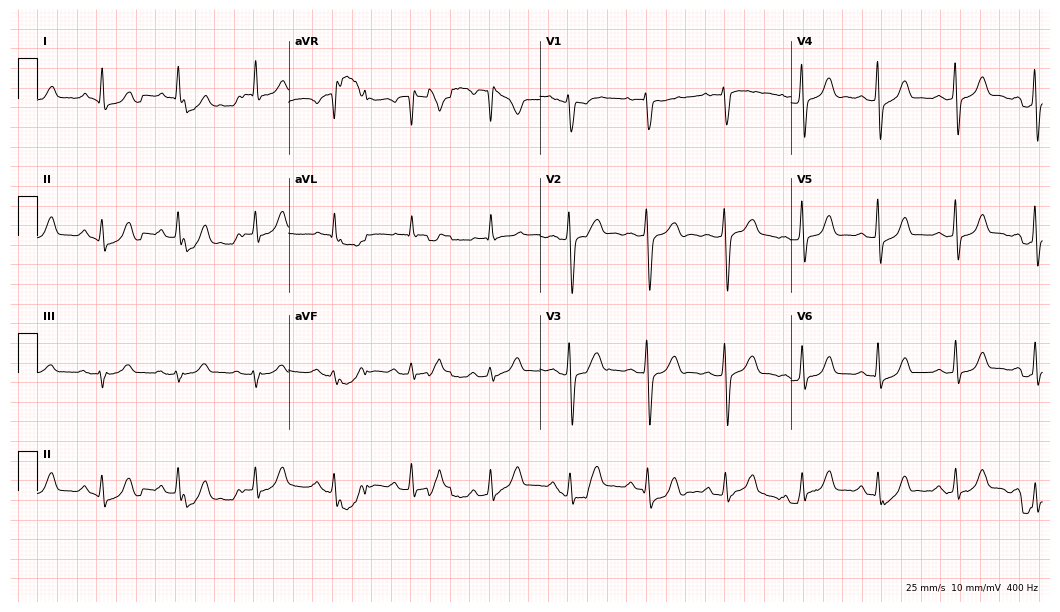
12-lead ECG from a 37-year-old female patient. Recorded interpretation: within normal limits.